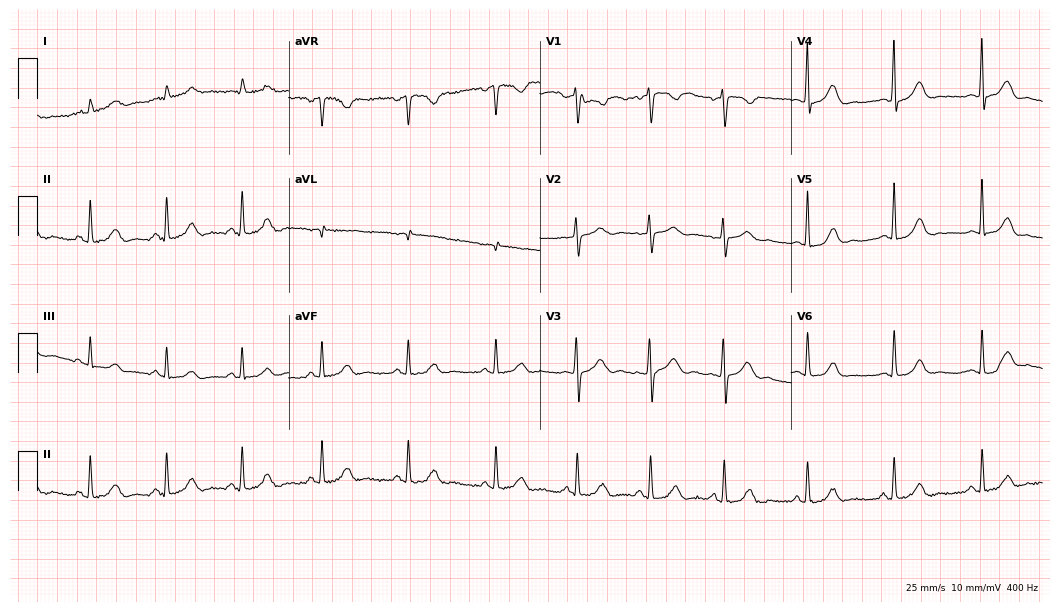
ECG (10.2-second recording at 400 Hz) — a female patient, 32 years old. Labelled as a normal ECG.